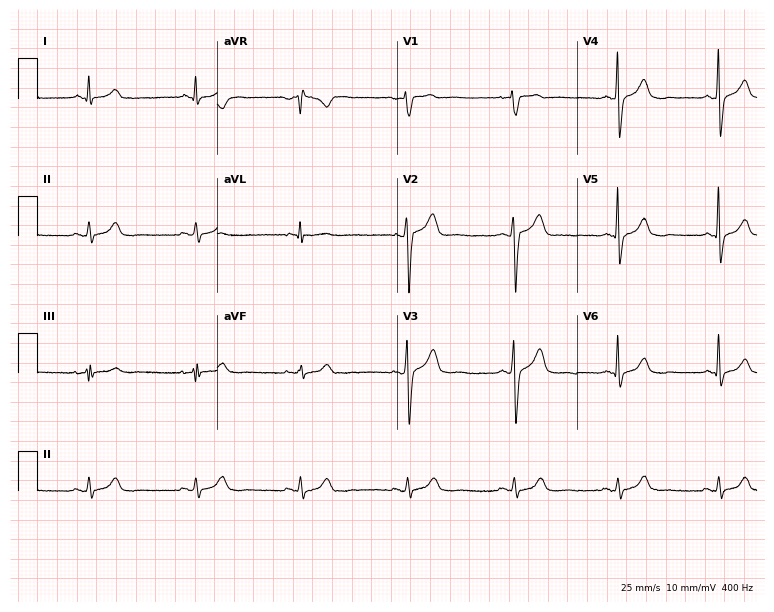
ECG — a male patient, 41 years old. Screened for six findings — first-degree AV block, right bundle branch block (RBBB), left bundle branch block (LBBB), sinus bradycardia, atrial fibrillation (AF), sinus tachycardia — none is recorded. Only these six findings were labelled.